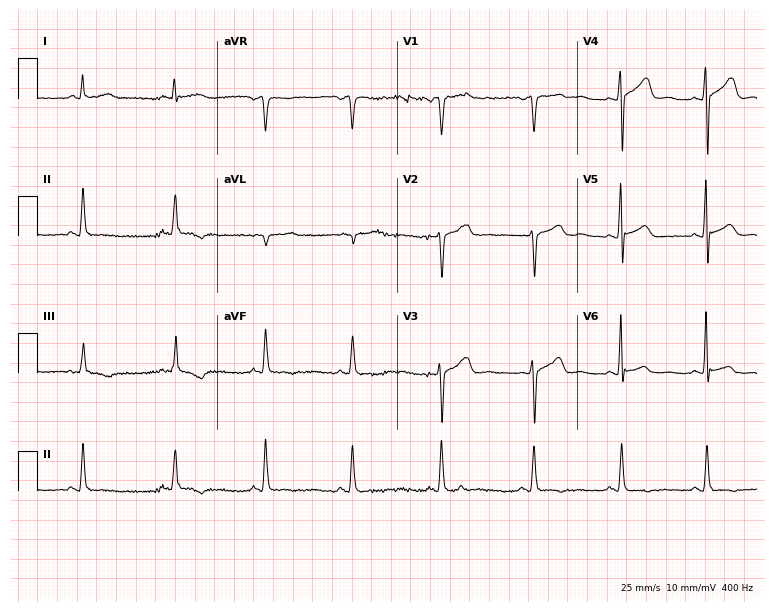
Resting 12-lead electrocardiogram (7.3-second recording at 400 Hz). Patient: a male, 54 years old. None of these six findings is recorded: first-degree AV block, right bundle branch block, left bundle branch block, sinus bradycardia, atrial fibrillation, sinus tachycardia. Only these six findings were labelled.